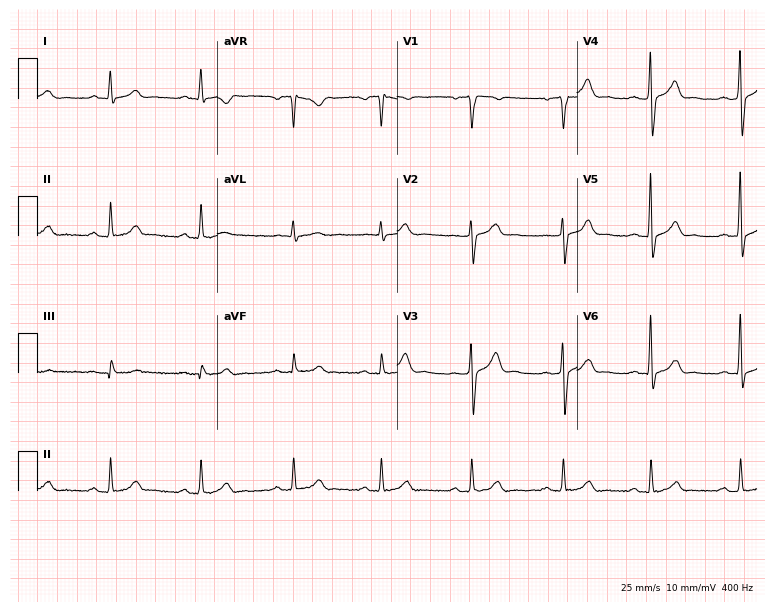
12-lead ECG (7.3-second recording at 400 Hz) from a man, 44 years old. Labelled as a normal ECG.